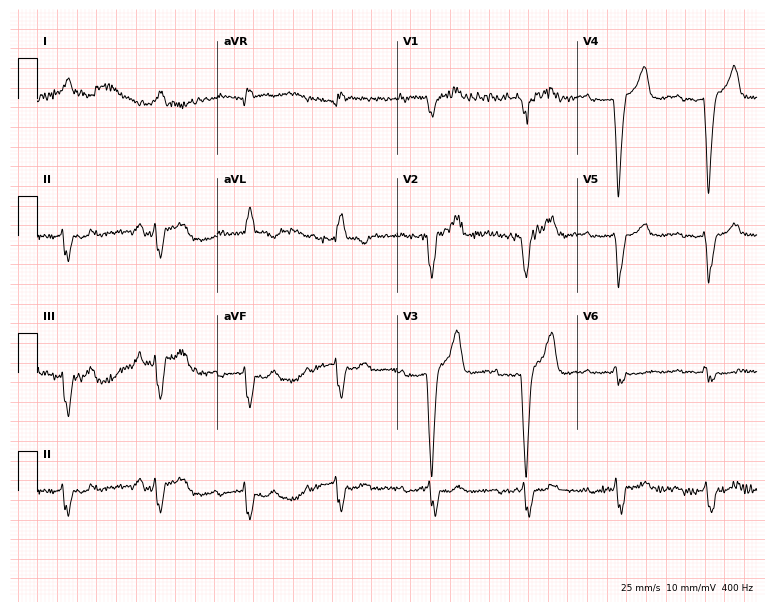
Standard 12-lead ECG recorded from a female patient, 82 years old. The tracing shows left bundle branch block.